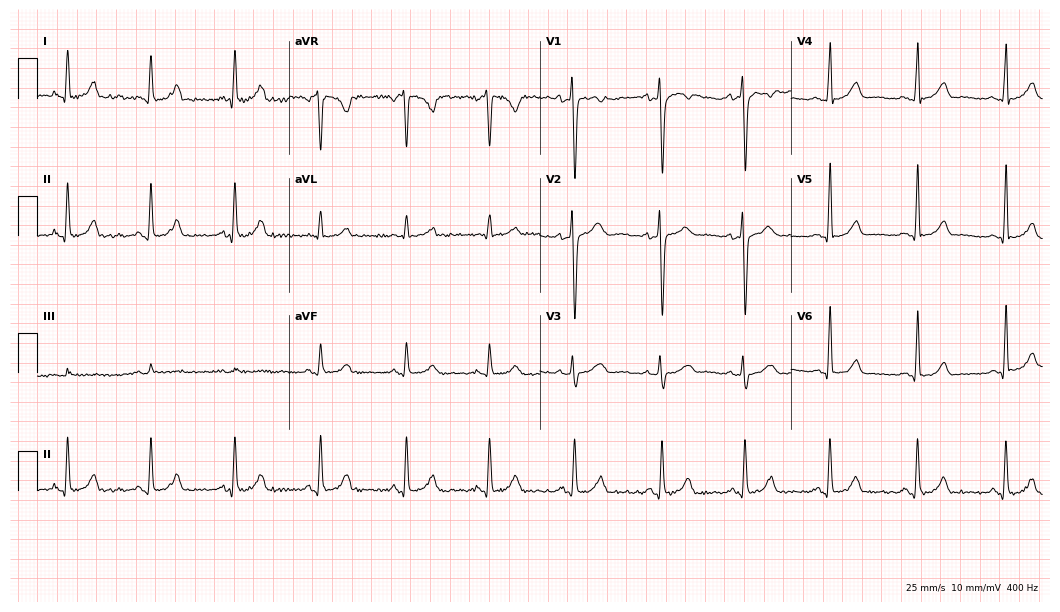
Electrocardiogram (10.2-second recording at 400 Hz), a female, 41 years old. Overall reading on record: normal ECG.